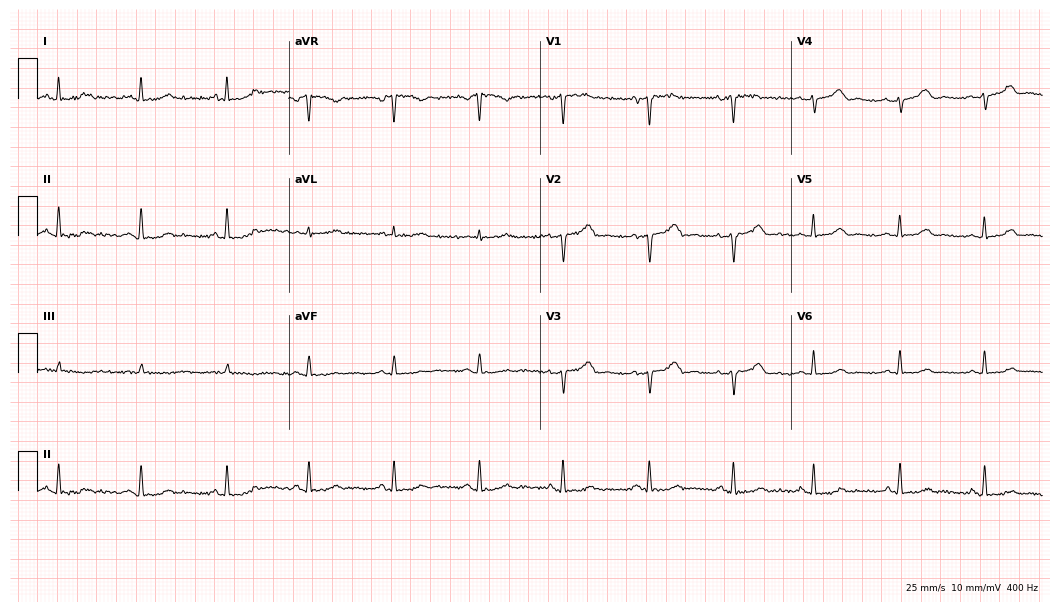
12-lead ECG (10.2-second recording at 400 Hz) from a female, 49 years old. Screened for six findings — first-degree AV block, right bundle branch block (RBBB), left bundle branch block (LBBB), sinus bradycardia, atrial fibrillation (AF), sinus tachycardia — none is recorded. Only these six findings were labelled.